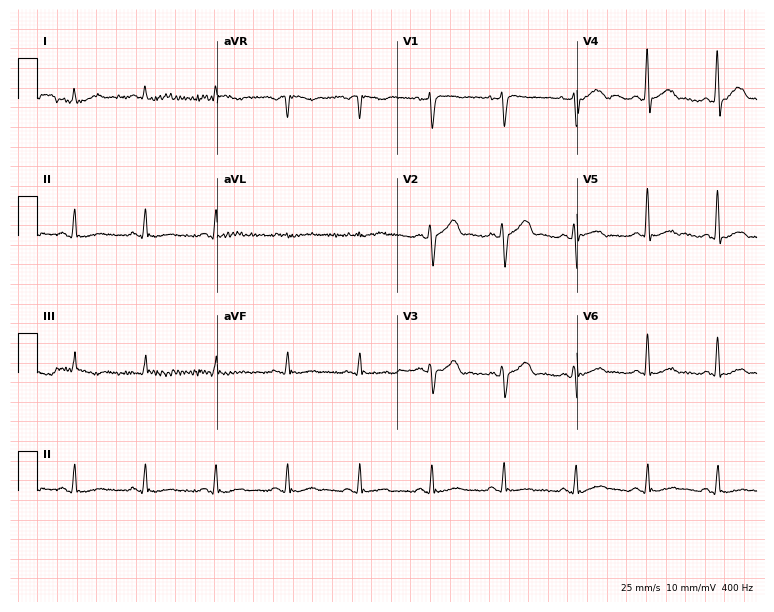
Electrocardiogram, a male, 39 years old. Of the six screened findings (first-degree AV block, right bundle branch block, left bundle branch block, sinus bradycardia, atrial fibrillation, sinus tachycardia), none is recorded. Only these six findings were labelled.